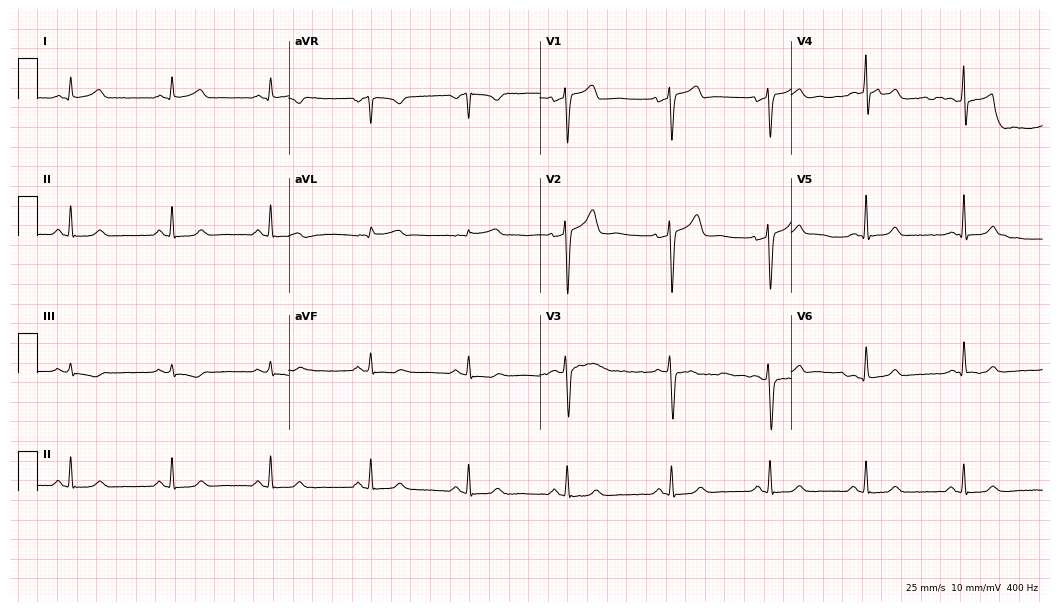
Standard 12-lead ECG recorded from a 34-year-old man. Read as a normal ECG.